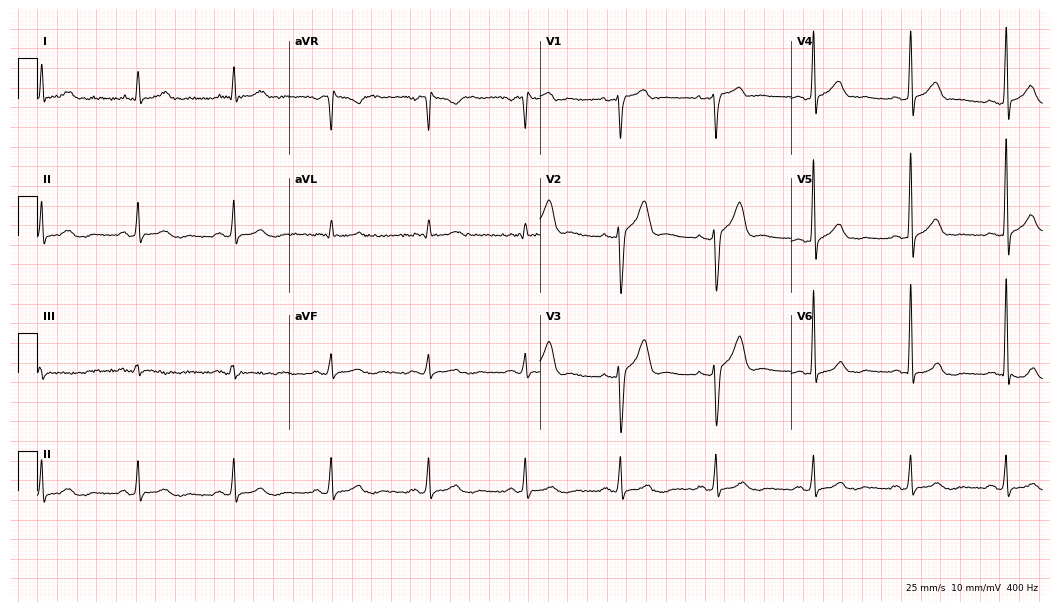
12-lead ECG from a 61-year-old man. Recorded interpretation: within normal limits.